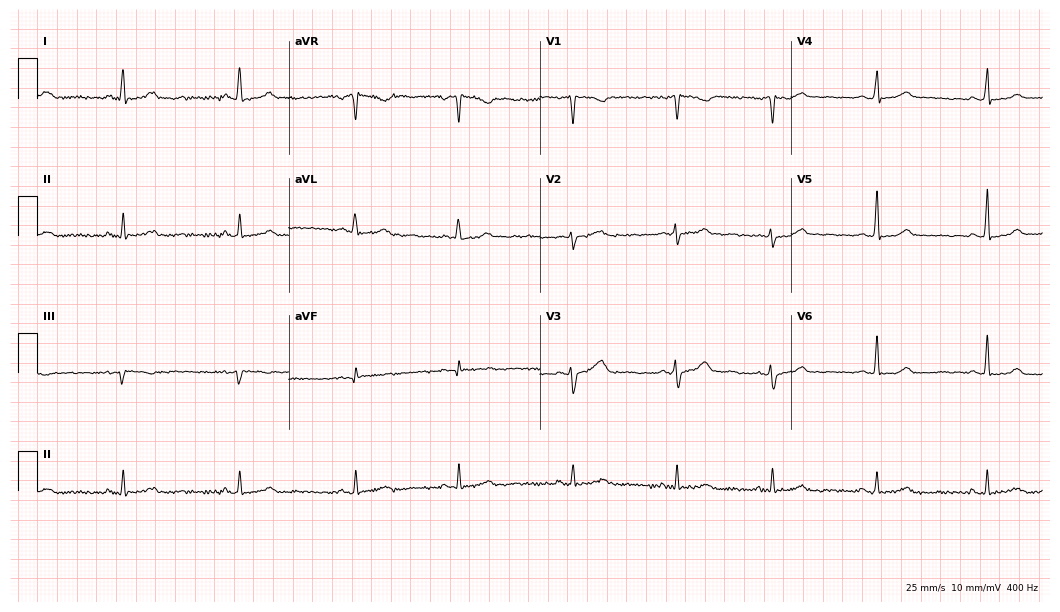
12-lead ECG (10.2-second recording at 400 Hz) from a 40-year-old female patient. Screened for six findings — first-degree AV block, right bundle branch block, left bundle branch block, sinus bradycardia, atrial fibrillation, sinus tachycardia — none is recorded. Findings outside these six are not listed.